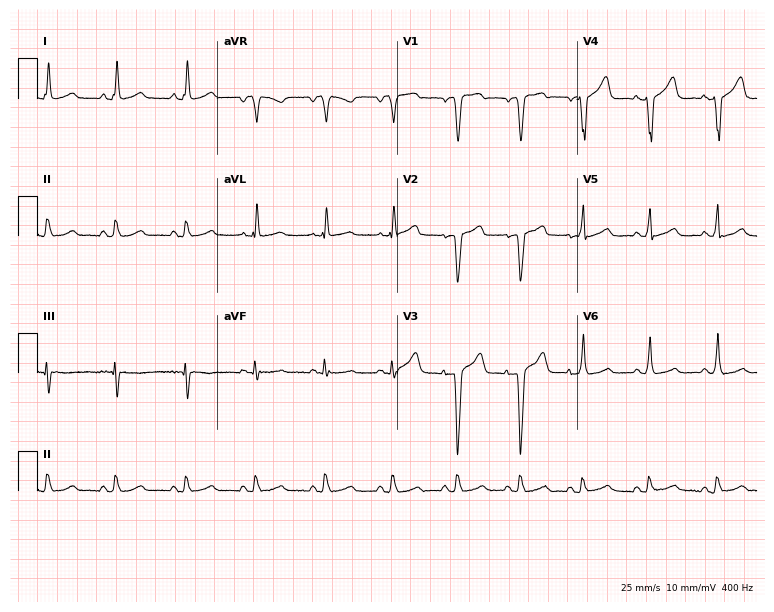
12-lead ECG from a 57-year-old female patient. Labelled as a normal ECG.